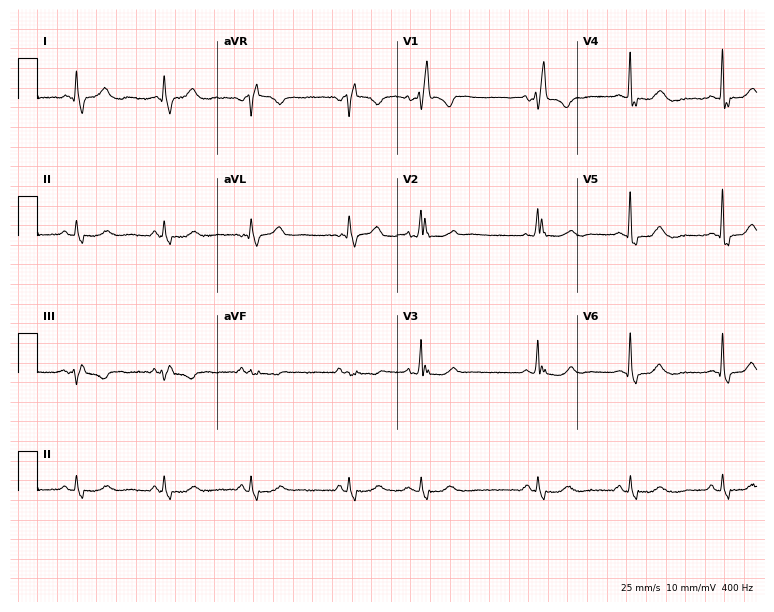
Resting 12-lead electrocardiogram. Patient: a female, 67 years old. The tracing shows right bundle branch block.